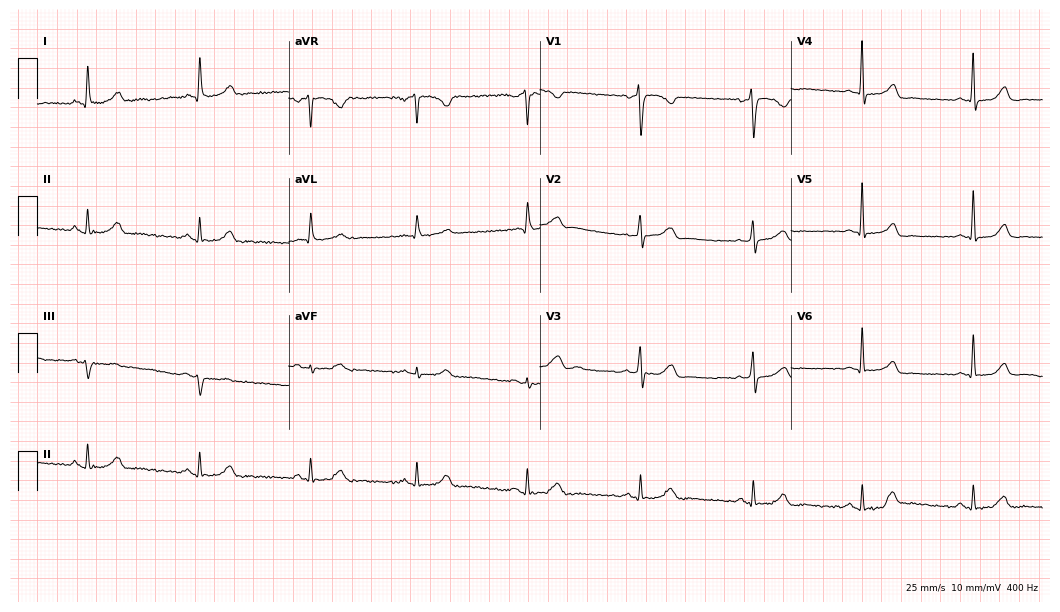
Standard 12-lead ECG recorded from a female, 45 years old. Read as a normal ECG.